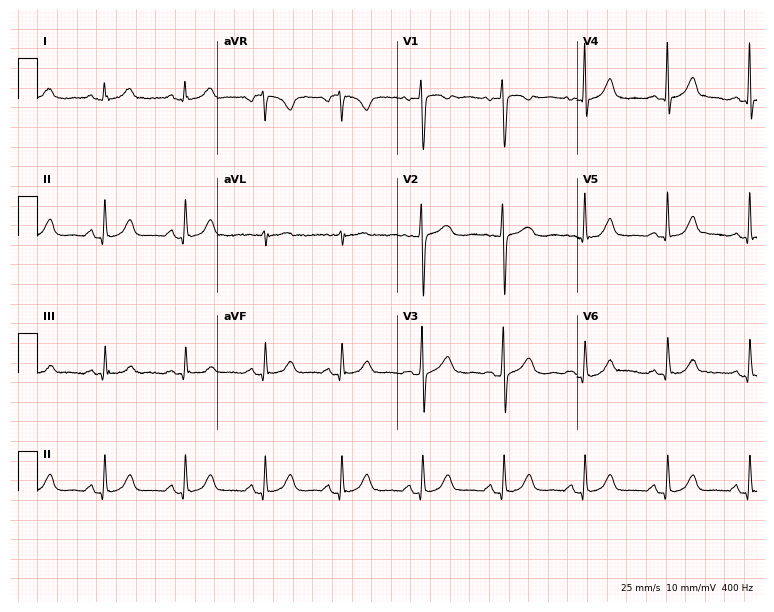
Standard 12-lead ECG recorded from a woman, 29 years old (7.3-second recording at 400 Hz). None of these six findings is recorded: first-degree AV block, right bundle branch block, left bundle branch block, sinus bradycardia, atrial fibrillation, sinus tachycardia. Findings outside these six are not listed.